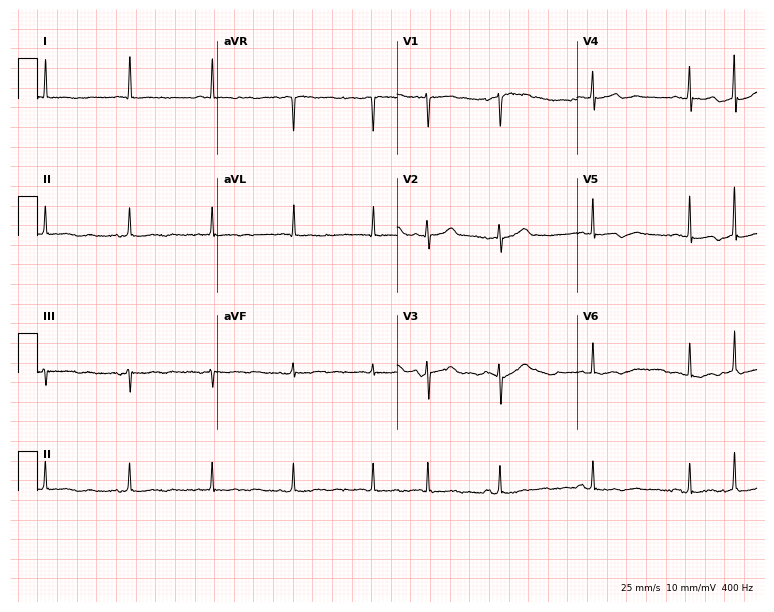
12-lead ECG from a 77-year-old female patient. Screened for six findings — first-degree AV block, right bundle branch block, left bundle branch block, sinus bradycardia, atrial fibrillation, sinus tachycardia — none is recorded. Only these six findings were labelled.